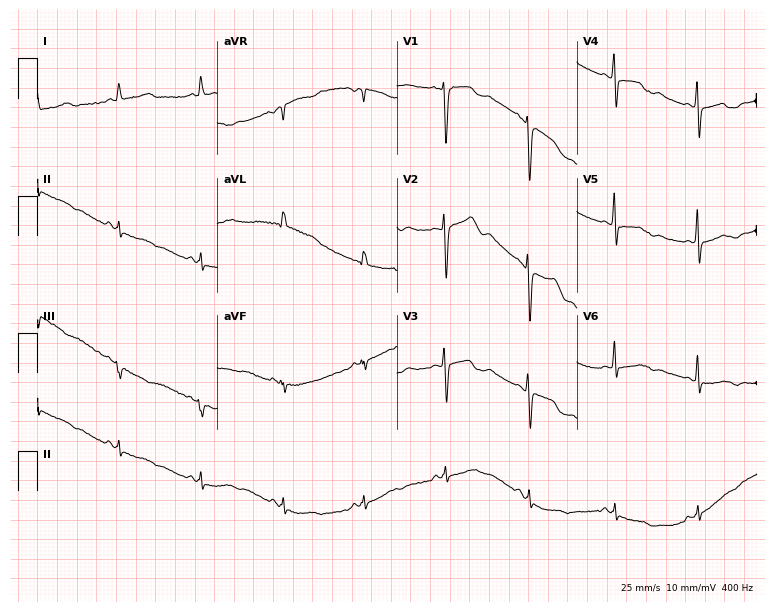
Standard 12-lead ECG recorded from a female patient, 54 years old (7.3-second recording at 400 Hz). None of these six findings is recorded: first-degree AV block, right bundle branch block, left bundle branch block, sinus bradycardia, atrial fibrillation, sinus tachycardia. Findings outside these six are not listed.